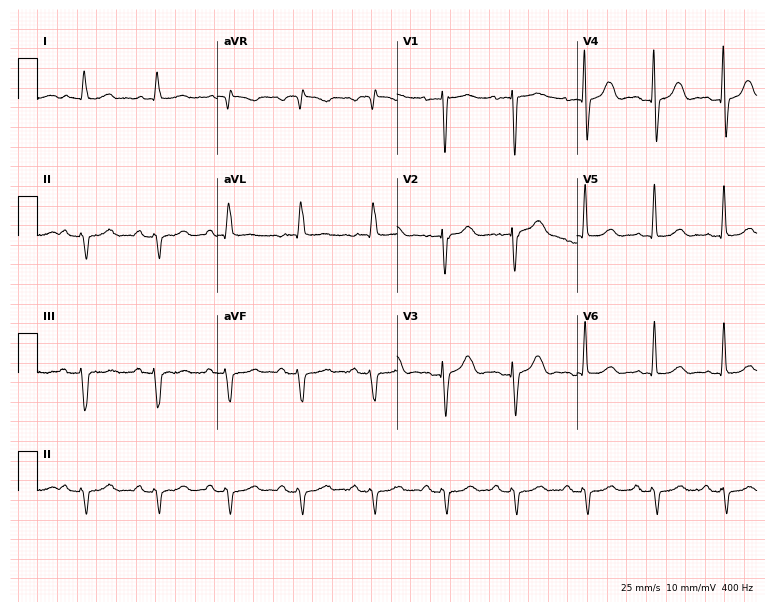
Electrocardiogram (7.3-second recording at 400 Hz), a woman, 80 years old. Of the six screened findings (first-degree AV block, right bundle branch block, left bundle branch block, sinus bradycardia, atrial fibrillation, sinus tachycardia), none is recorded.